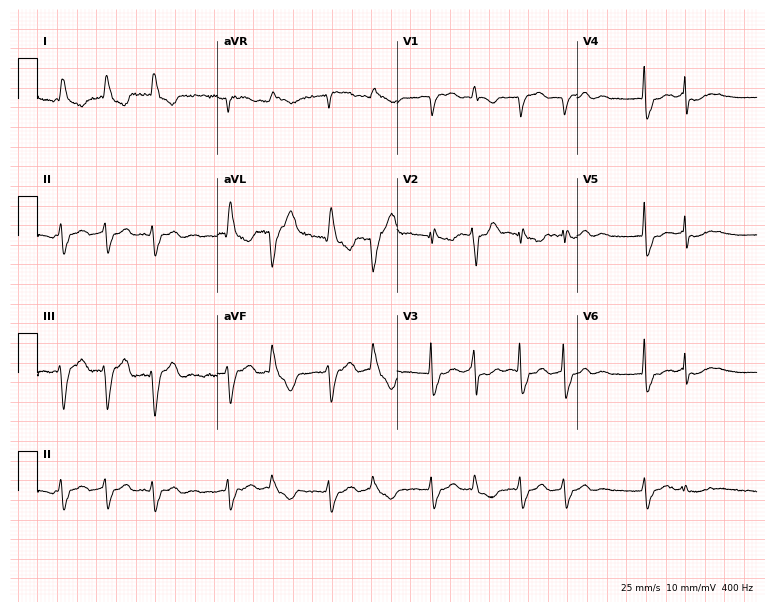
12-lead ECG from an 81-year-old woman (7.3-second recording at 400 Hz). Shows atrial fibrillation.